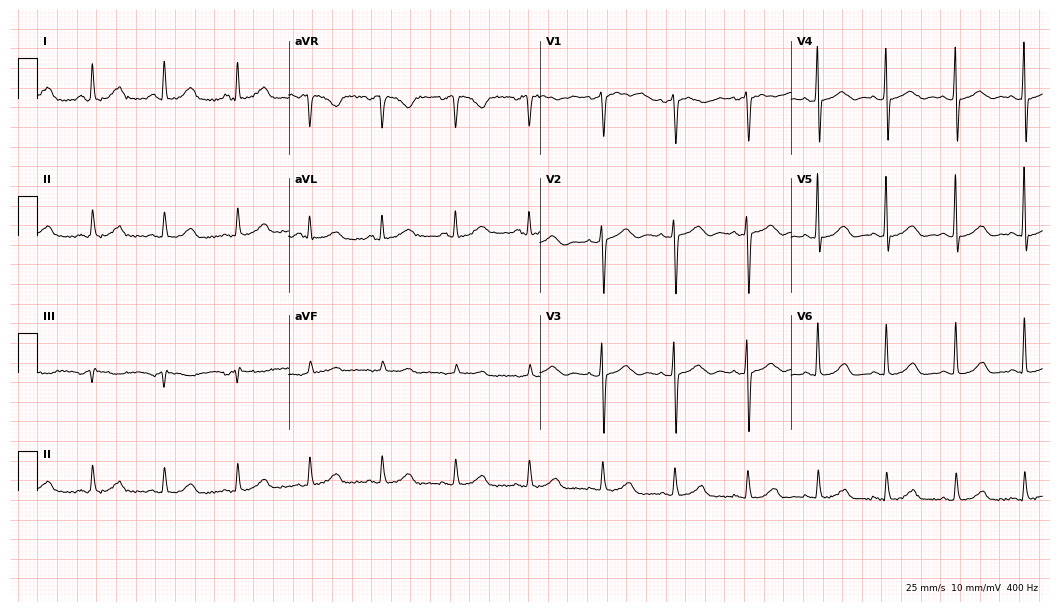
Resting 12-lead electrocardiogram. Patient: a 70-year-old woman. Read as a normal ECG.